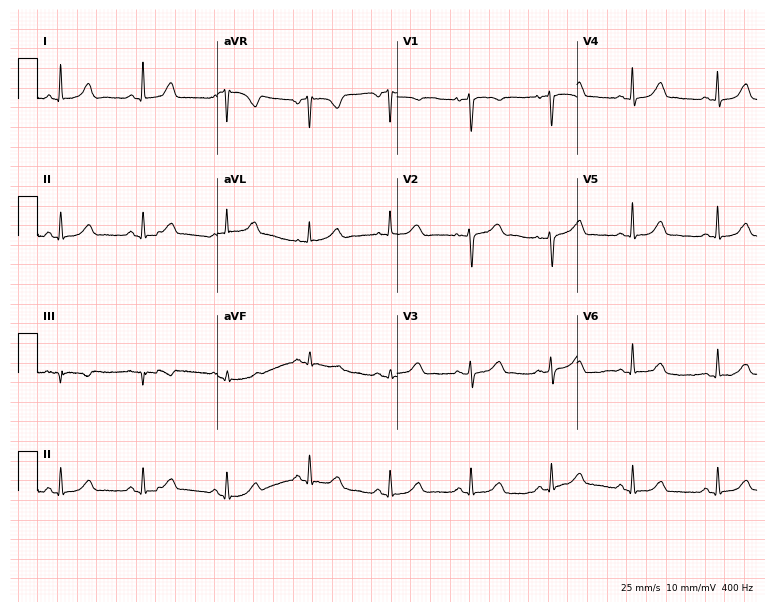
12-lead ECG from a female, 39 years old. No first-degree AV block, right bundle branch block (RBBB), left bundle branch block (LBBB), sinus bradycardia, atrial fibrillation (AF) or sinus tachycardia recorded for this tracing.